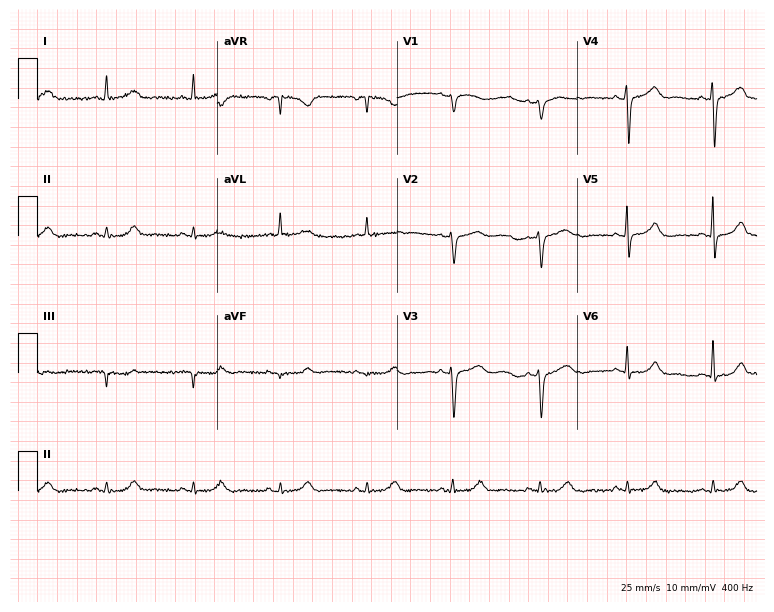
12-lead ECG from a 76-year-old female. Recorded interpretation: within normal limits.